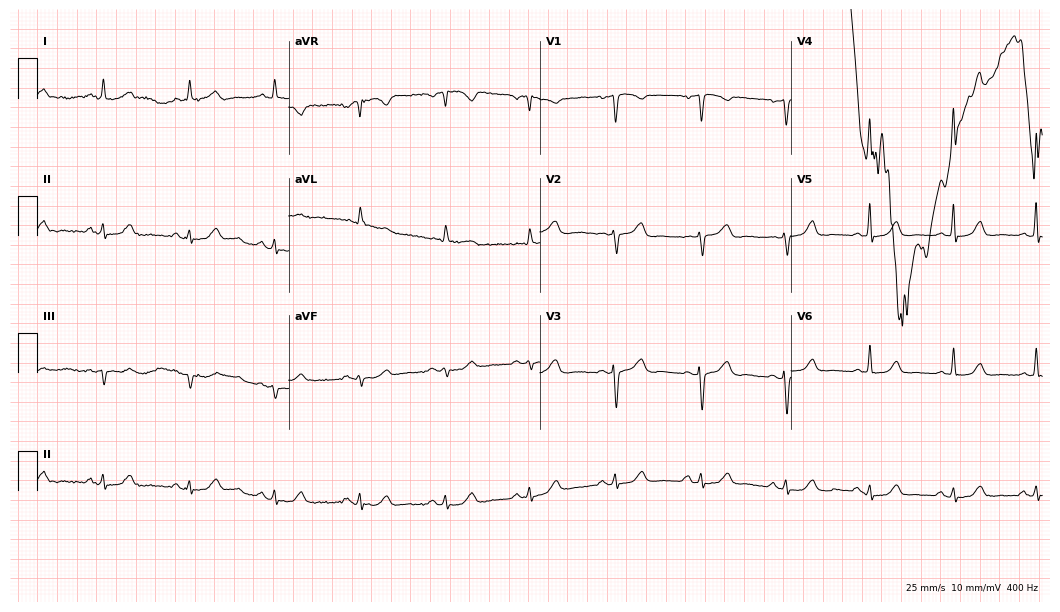
Electrocardiogram, a 79-year-old female patient. Of the six screened findings (first-degree AV block, right bundle branch block (RBBB), left bundle branch block (LBBB), sinus bradycardia, atrial fibrillation (AF), sinus tachycardia), none is recorded. Findings outside these six are not listed.